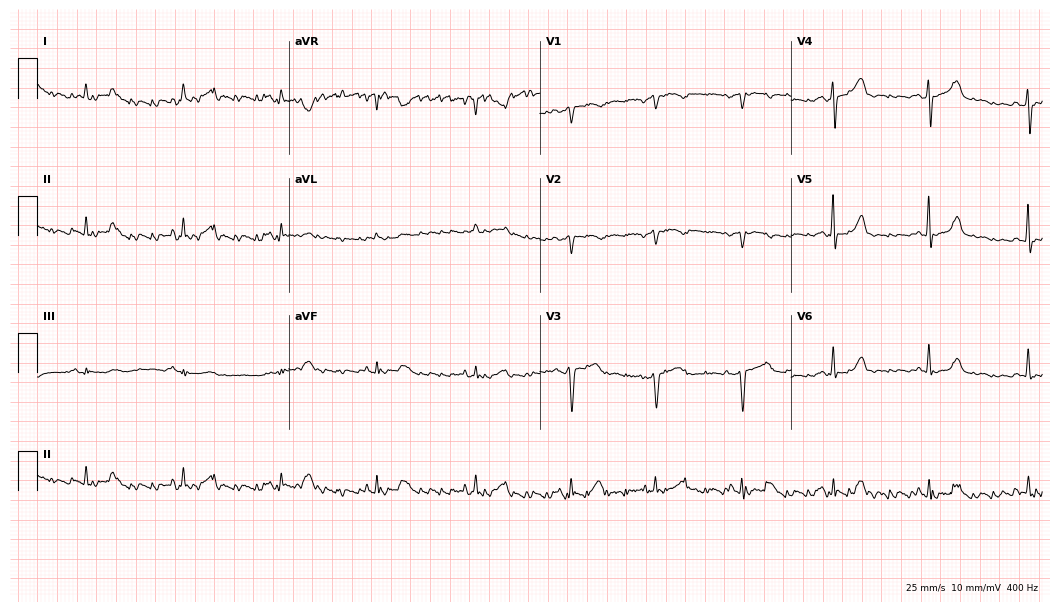
Standard 12-lead ECG recorded from a 67-year-old woman (10.2-second recording at 400 Hz). None of these six findings is recorded: first-degree AV block, right bundle branch block, left bundle branch block, sinus bradycardia, atrial fibrillation, sinus tachycardia.